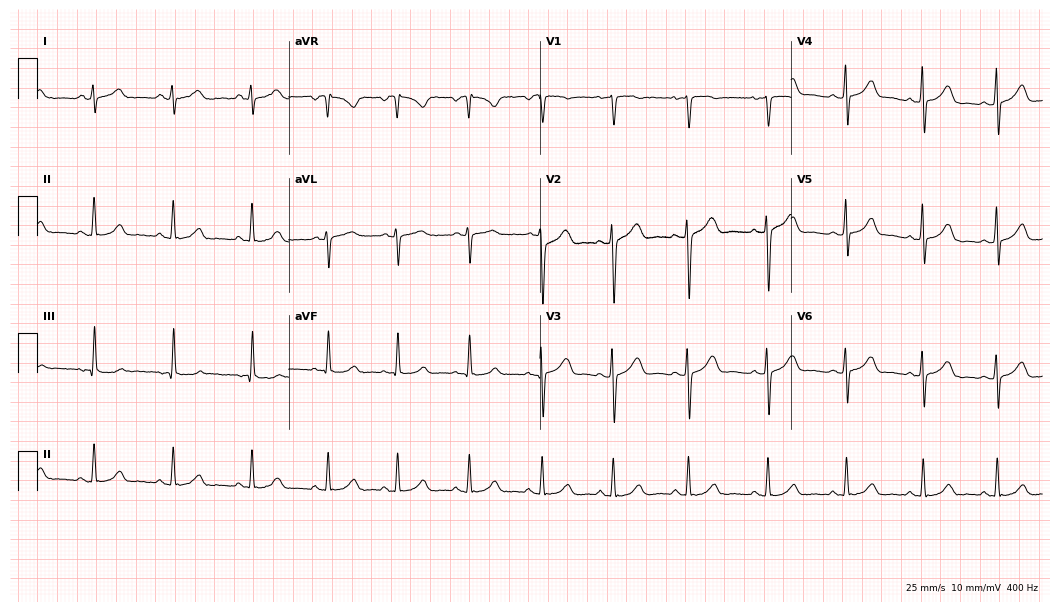
Standard 12-lead ECG recorded from a 22-year-old woman (10.2-second recording at 400 Hz). Read as a normal ECG.